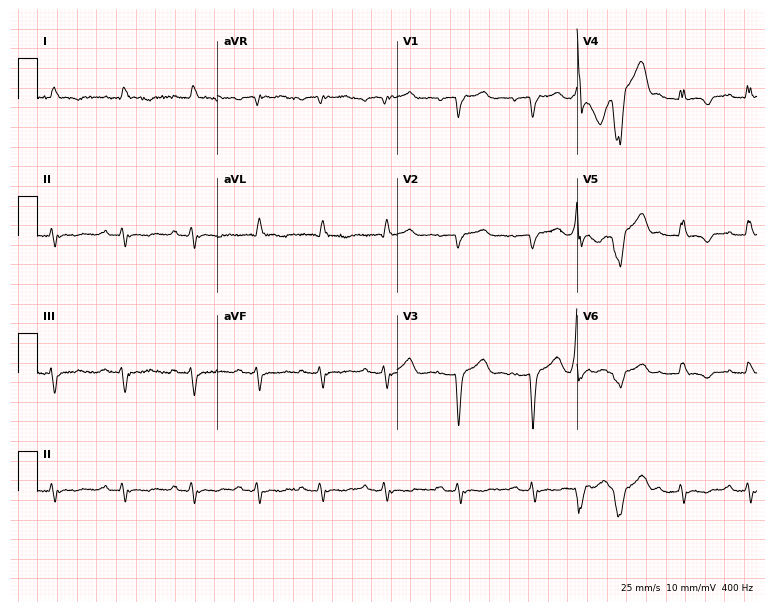
12-lead ECG (7.3-second recording at 400 Hz) from a male, 68 years old. Screened for six findings — first-degree AV block, right bundle branch block, left bundle branch block, sinus bradycardia, atrial fibrillation, sinus tachycardia — none is recorded.